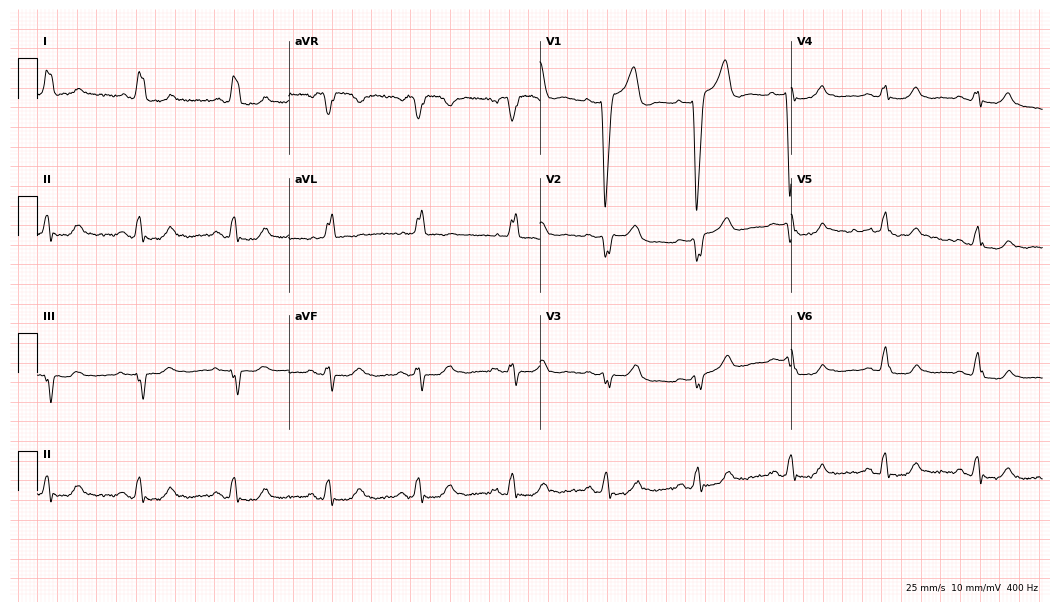
Standard 12-lead ECG recorded from an 85-year-old female patient. The tracing shows left bundle branch block.